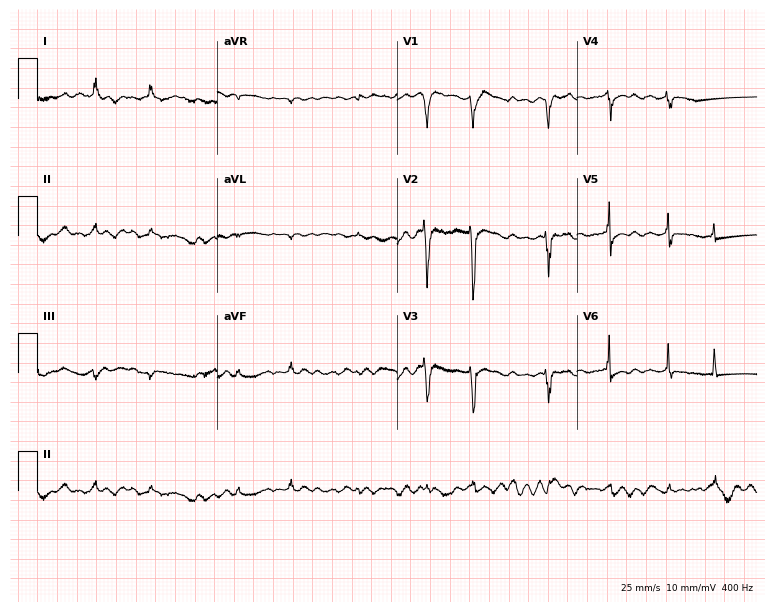
ECG — a male, 82 years old. Screened for six findings — first-degree AV block, right bundle branch block, left bundle branch block, sinus bradycardia, atrial fibrillation, sinus tachycardia — none is recorded.